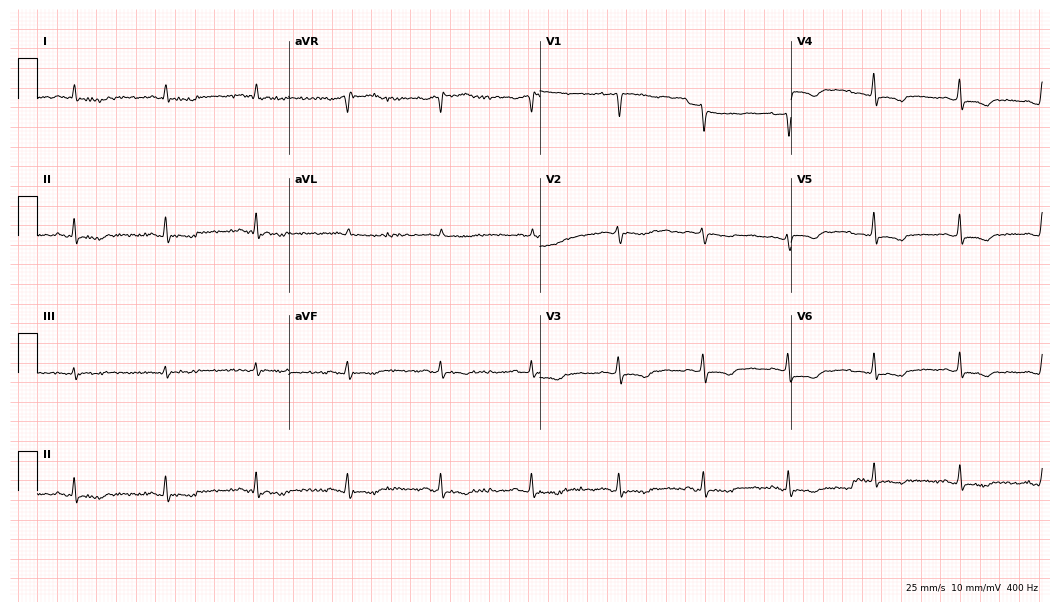
12-lead ECG (10.2-second recording at 400 Hz) from a 46-year-old female. Screened for six findings — first-degree AV block, right bundle branch block, left bundle branch block, sinus bradycardia, atrial fibrillation, sinus tachycardia — none is recorded. Only these six findings were labelled.